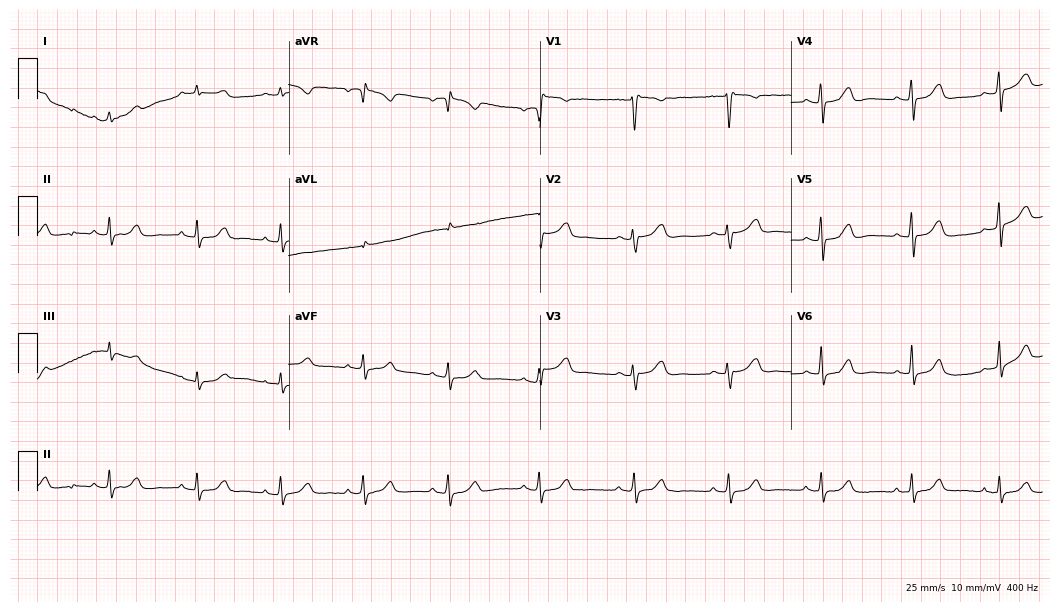
12-lead ECG from a female patient, 36 years old. Labelled as a normal ECG.